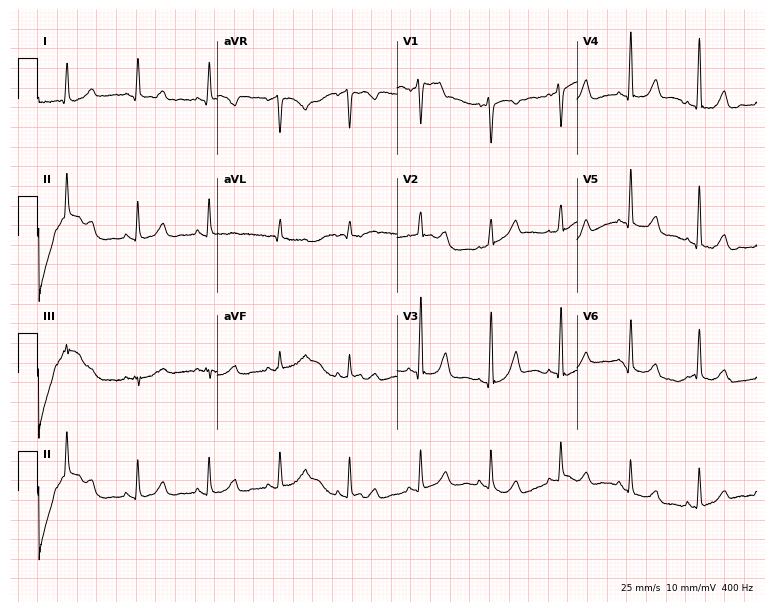
ECG — a 60-year-old female patient. Screened for six findings — first-degree AV block, right bundle branch block, left bundle branch block, sinus bradycardia, atrial fibrillation, sinus tachycardia — none is recorded.